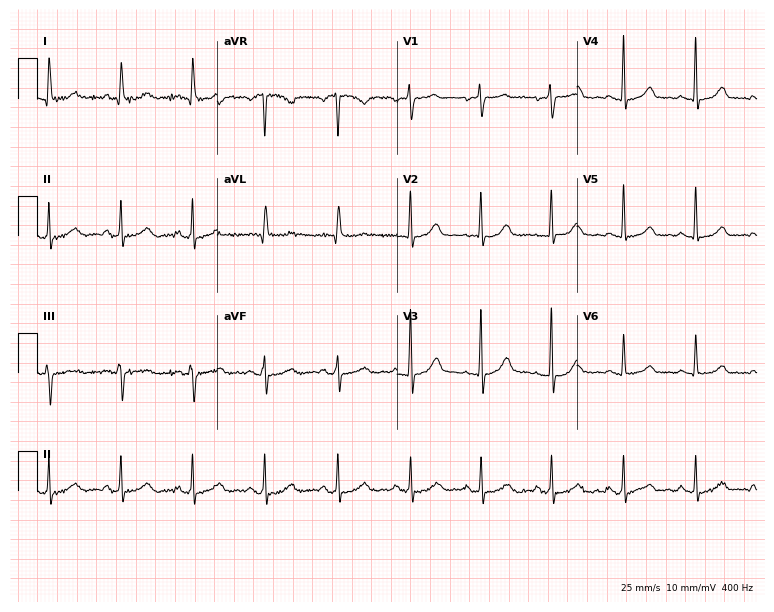
ECG (7.3-second recording at 400 Hz) — a female, 56 years old. Labelled as a normal ECG.